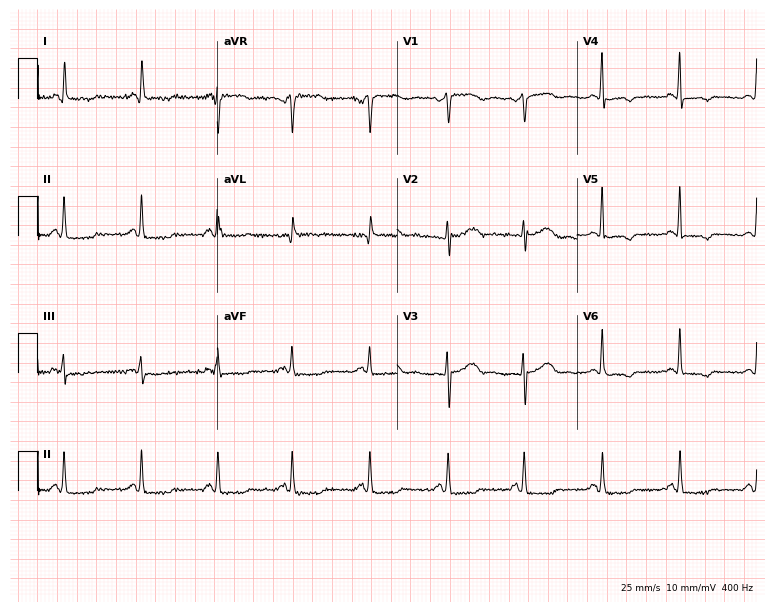
12-lead ECG from a female, 63 years old (7.3-second recording at 400 Hz). No first-degree AV block, right bundle branch block (RBBB), left bundle branch block (LBBB), sinus bradycardia, atrial fibrillation (AF) or sinus tachycardia recorded for this tracing.